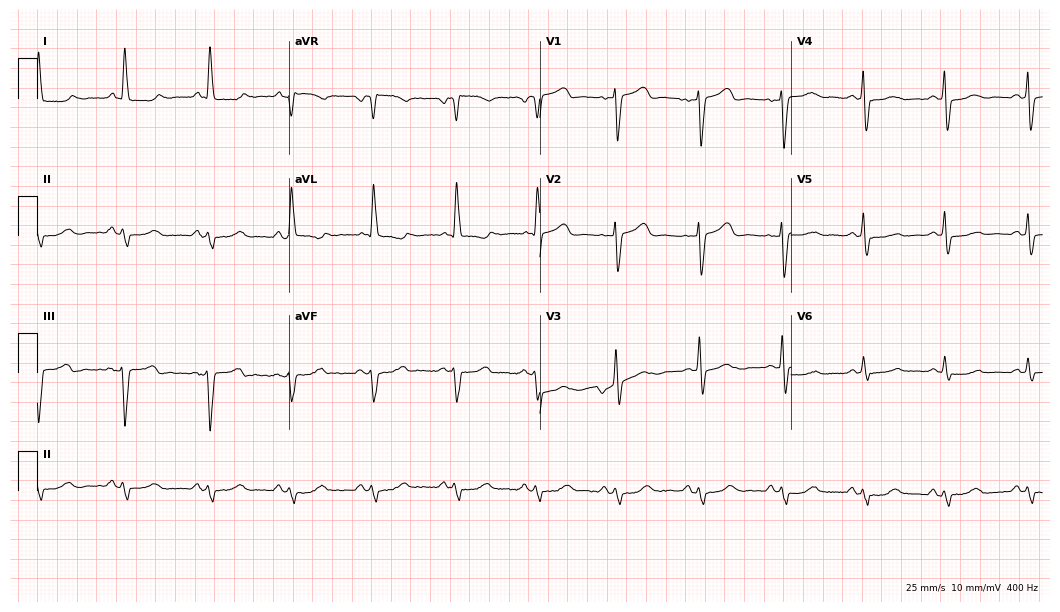
12-lead ECG from a 78-year-old female. No first-degree AV block, right bundle branch block (RBBB), left bundle branch block (LBBB), sinus bradycardia, atrial fibrillation (AF) or sinus tachycardia recorded for this tracing. Findings outside these six are not listed.